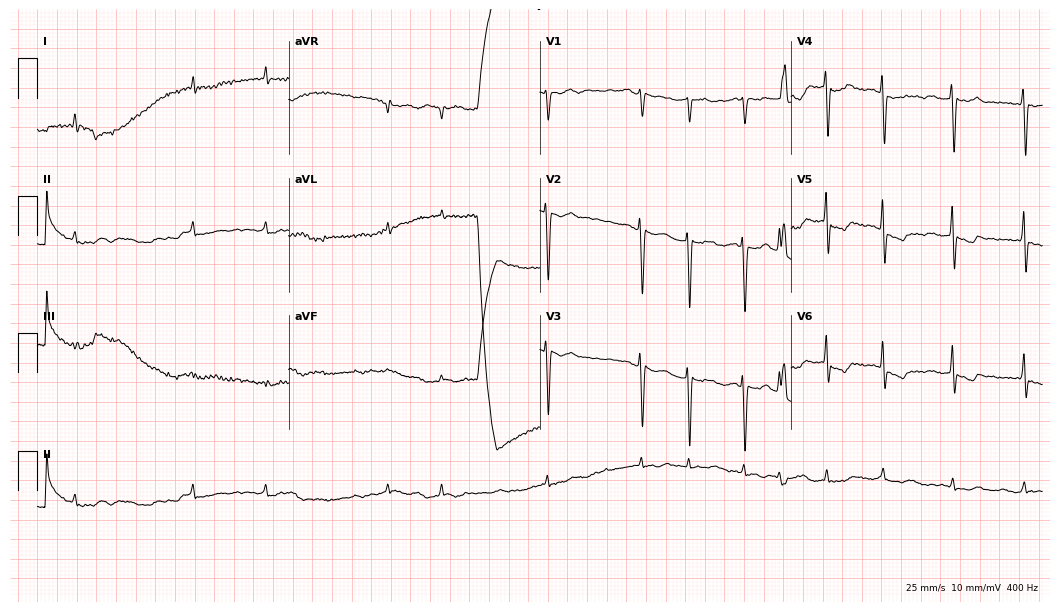
Standard 12-lead ECG recorded from a female patient, 84 years old. None of these six findings is recorded: first-degree AV block, right bundle branch block (RBBB), left bundle branch block (LBBB), sinus bradycardia, atrial fibrillation (AF), sinus tachycardia.